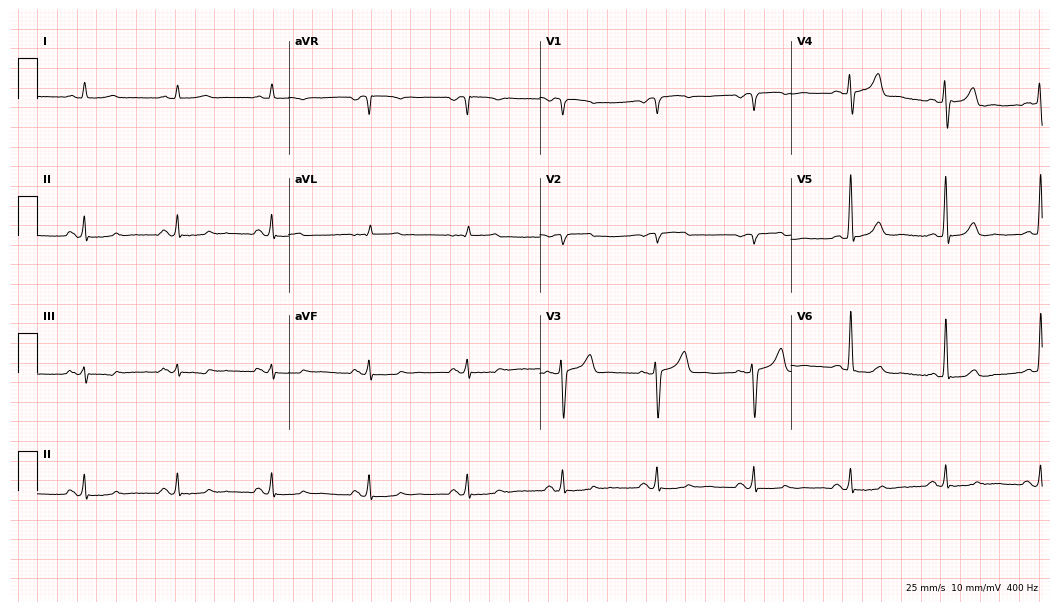
Resting 12-lead electrocardiogram (10.2-second recording at 400 Hz). Patient: a 62-year-old male. None of these six findings is recorded: first-degree AV block, right bundle branch block (RBBB), left bundle branch block (LBBB), sinus bradycardia, atrial fibrillation (AF), sinus tachycardia.